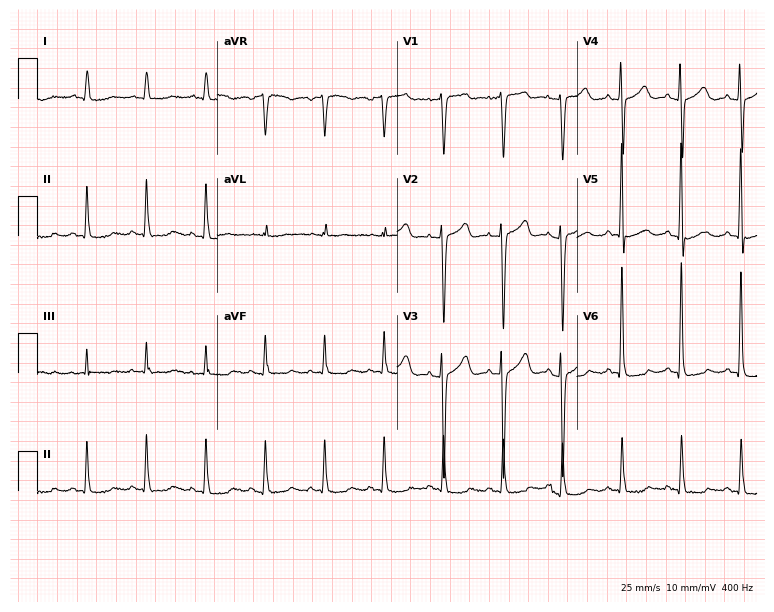
Resting 12-lead electrocardiogram (7.3-second recording at 400 Hz). Patient: a 76-year-old man. None of these six findings is recorded: first-degree AV block, right bundle branch block, left bundle branch block, sinus bradycardia, atrial fibrillation, sinus tachycardia.